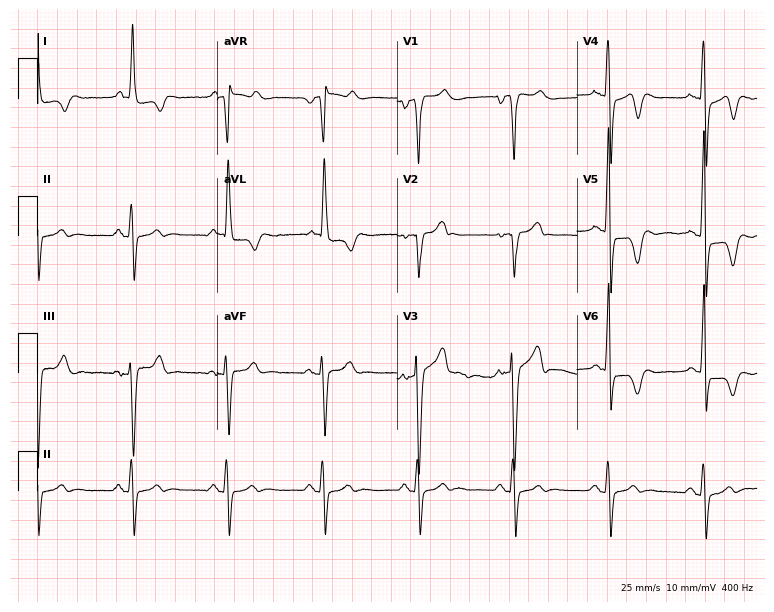
Standard 12-lead ECG recorded from a 72-year-old male patient (7.3-second recording at 400 Hz). None of these six findings is recorded: first-degree AV block, right bundle branch block, left bundle branch block, sinus bradycardia, atrial fibrillation, sinus tachycardia.